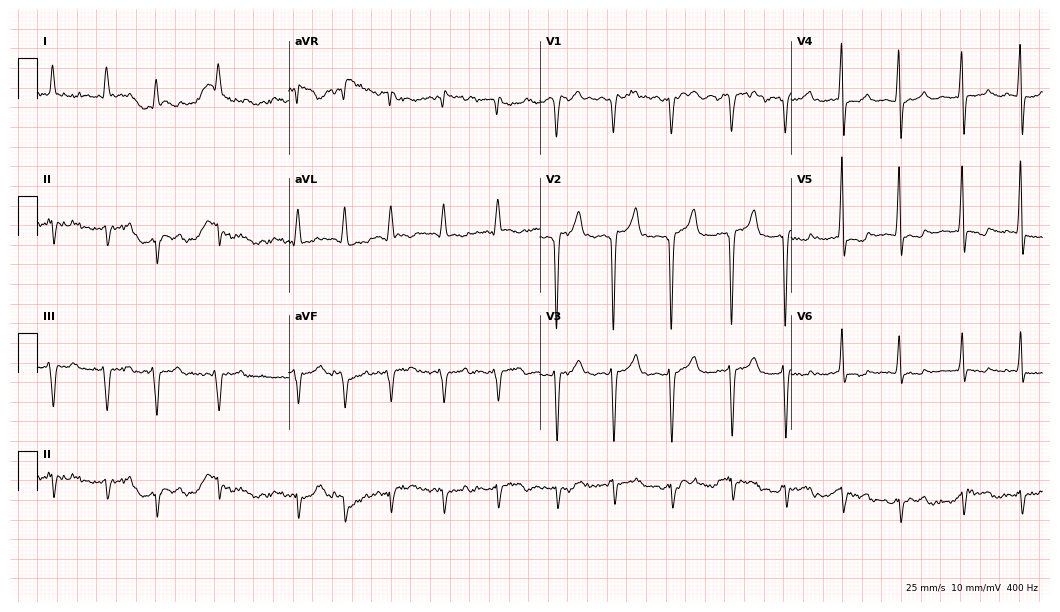
12-lead ECG from a man, 84 years old. No first-degree AV block, right bundle branch block (RBBB), left bundle branch block (LBBB), sinus bradycardia, atrial fibrillation (AF) or sinus tachycardia recorded for this tracing.